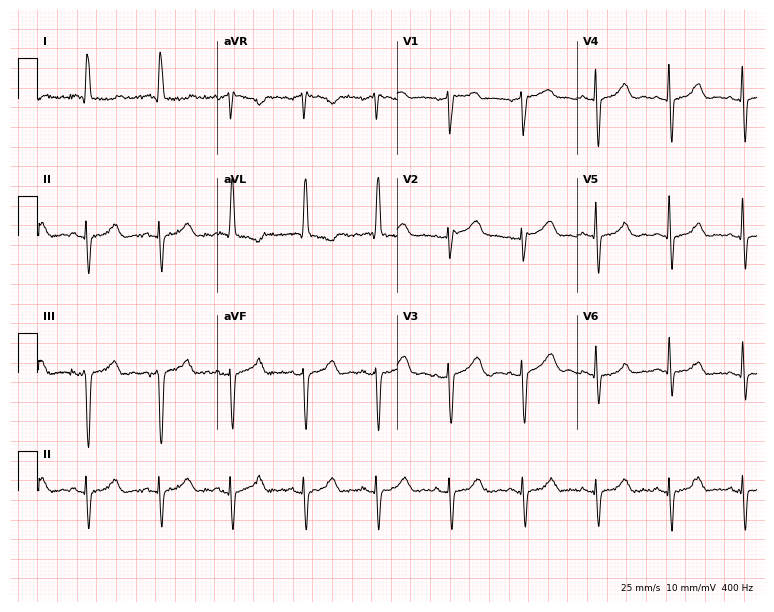
12-lead ECG from a female, 81 years old. No first-degree AV block, right bundle branch block, left bundle branch block, sinus bradycardia, atrial fibrillation or sinus tachycardia recorded for this tracing. Only these six findings were labelled.